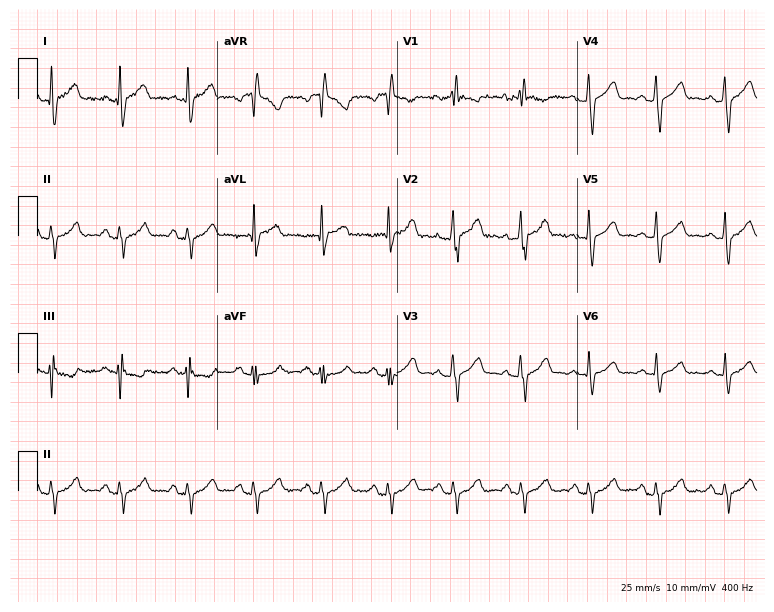
12-lead ECG (7.3-second recording at 400 Hz) from a 45-year-old female patient. Screened for six findings — first-degree AV block, right bundle branch block, left bundle branch block, sinus bradycardia, atrial fibrillation, sinus tachycardia — none is recorded.